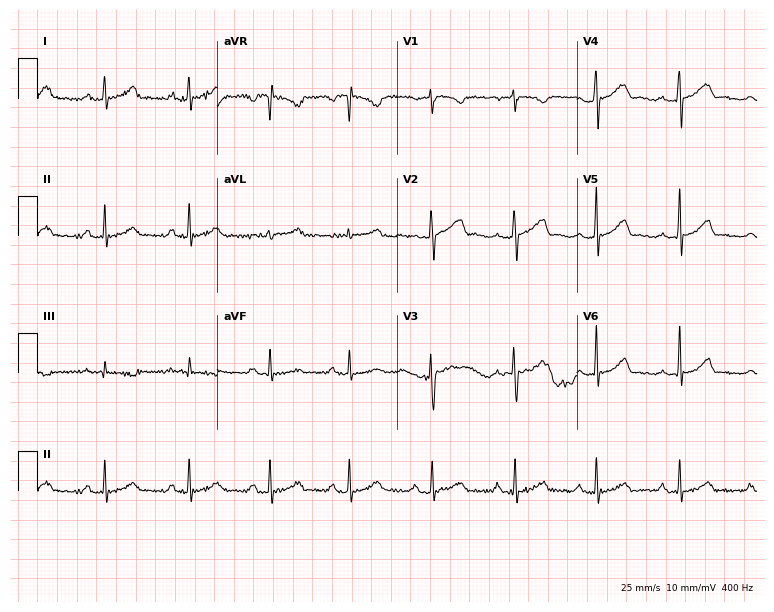
Electrocardiogram (7.3-second recording at 400 Hz), a woman, 27 years old. Overall reading on record: normal ECG.